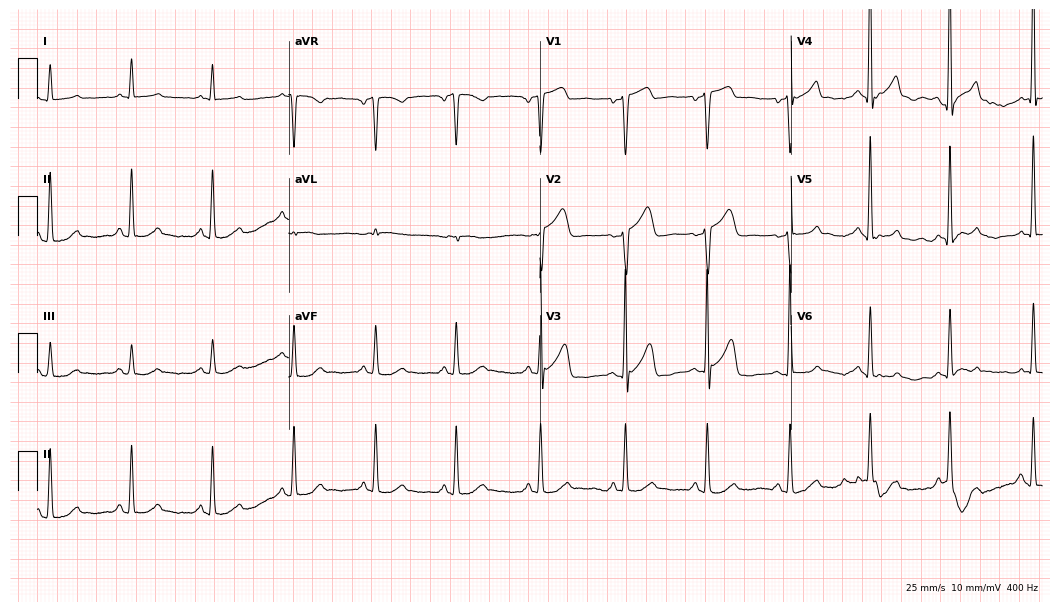
ECG — a 60-year-old male. Labelled as a normal ECG.